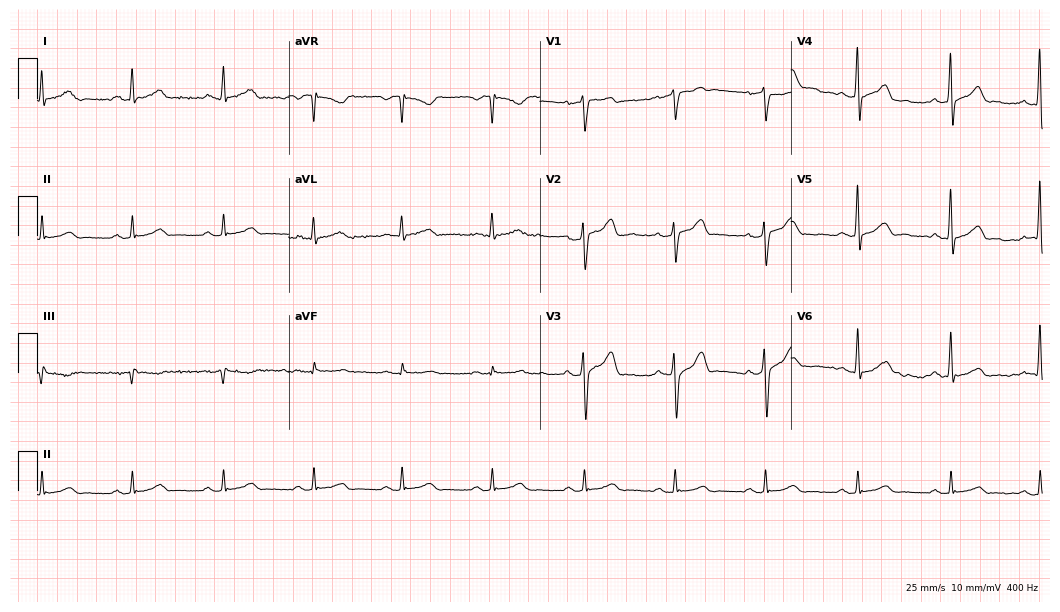
Resting 12-lead electrocardiogram. Patient: a 40-year-old male. Read as a normal ECG.